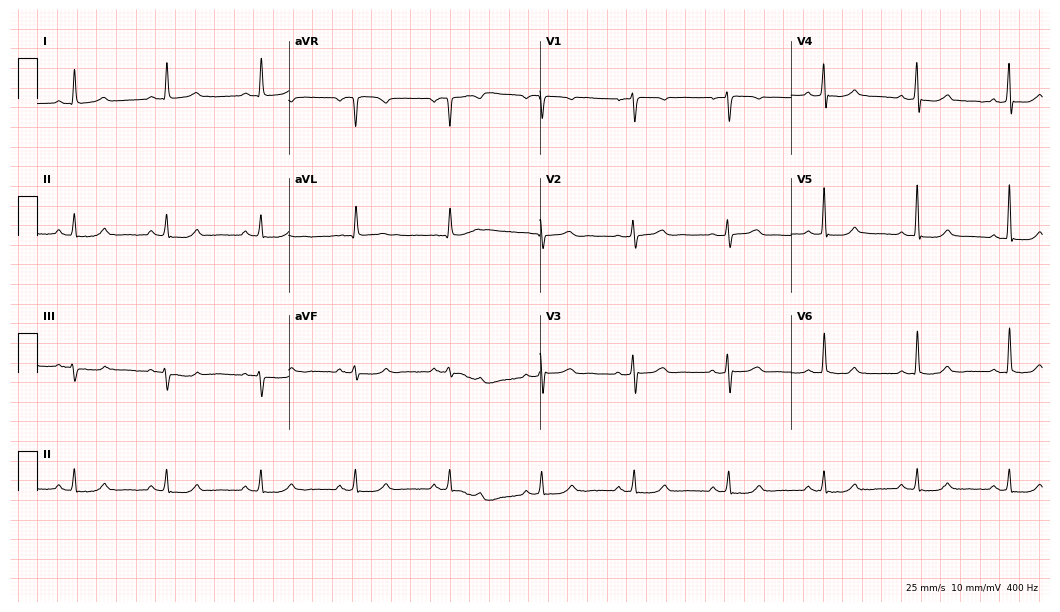
12-lead ECG from a man, 65 years old. Labelled as a normal ECG.